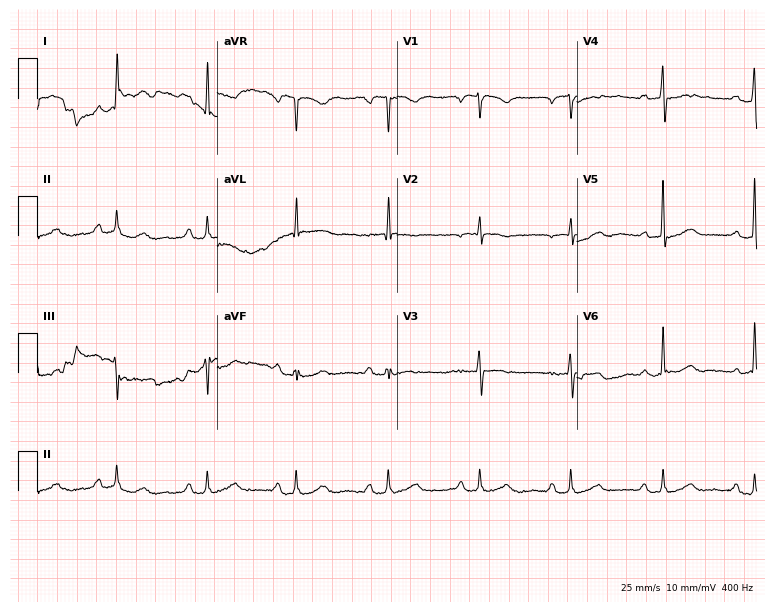
Electrocardiogram (7.3-second recording at 400 Hz), a man, 81 years old. Interpretation includes first-degree AV block.